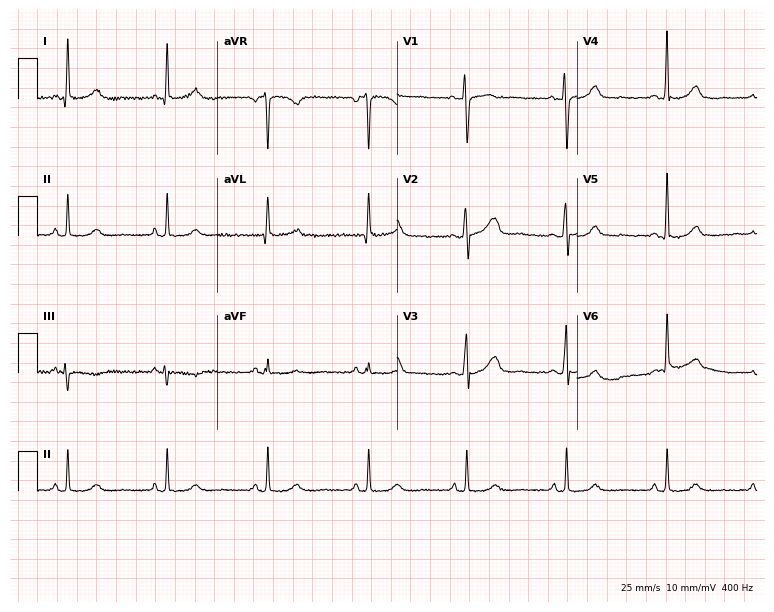
ECG (7.3-second recording at 400 Hz) — a 49-year-old woman. Screened for six findings — first-degree AV block, right bundle branch block, left bundle branch block, sinus bradycardia, atrial fibrillation, sinus tachycardia — none is recorded. Findings outside these six are not listed.